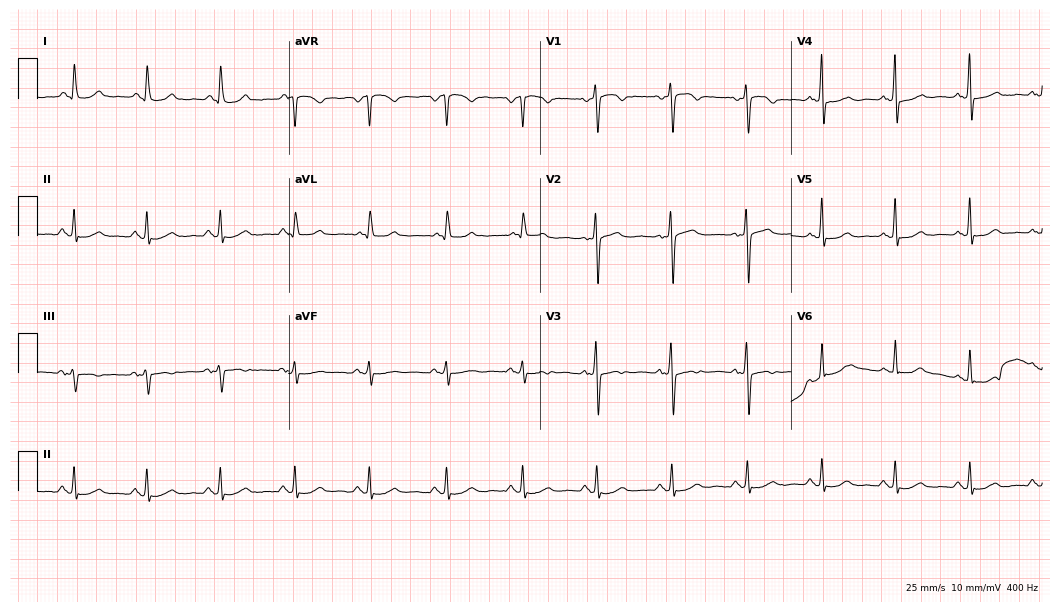
Electrocardiogram, a 51-year-old female patient. Overall reading on record: normal ECG.